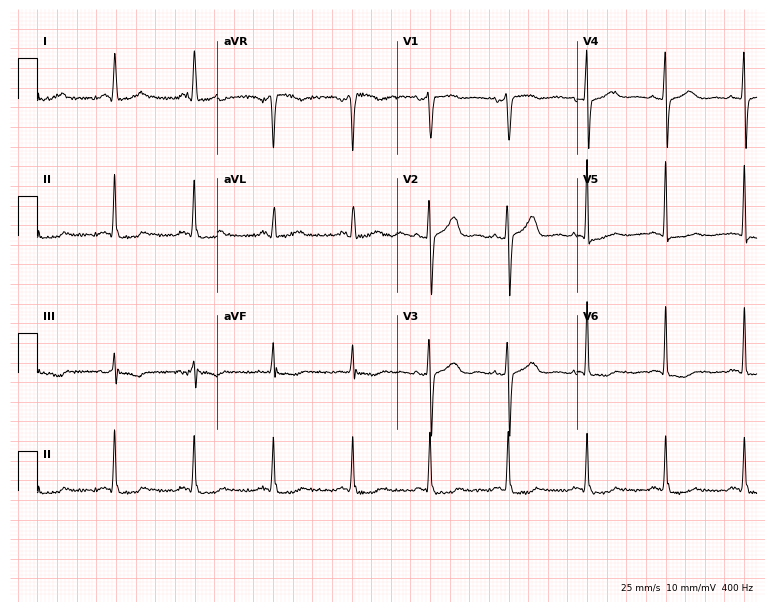
12-lead ECG (7.3-second recording at 400 Hz) from a 50-year-old woman. Screened for six findings — first-degree AV block, right bundle branch block, left bundle branch block, sinus bradycardia, atrial fibrillation, sinus tachycardia — none is recorded. Other findings, if any, are not listed.